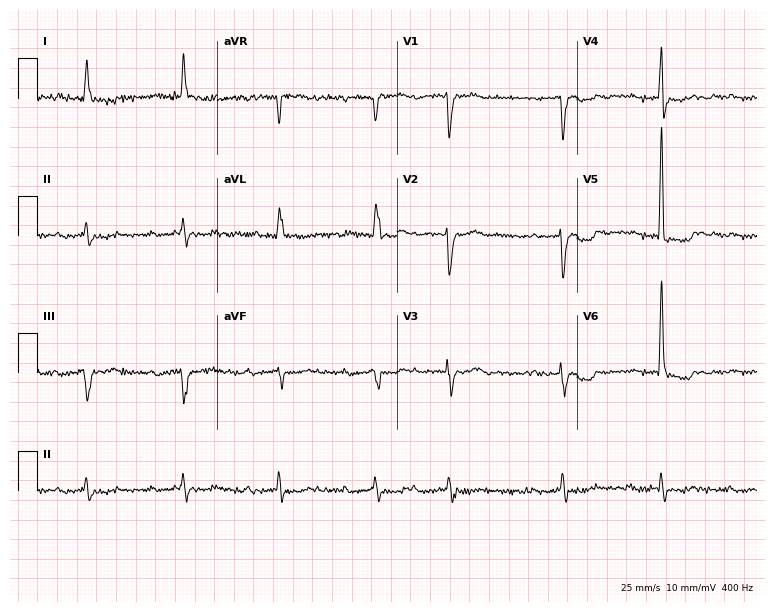
12-lead ECG from an 81-year-old female (7.3-second recording at 400 Hz). No first-degree AV block, right bundle branch block (RBBB), left bundle branch block (LBBB), sinus bradycardia, atrial fibrillation (AF) or sinus tachycardia recorded for this tracing. Findings outside these six are not listed.